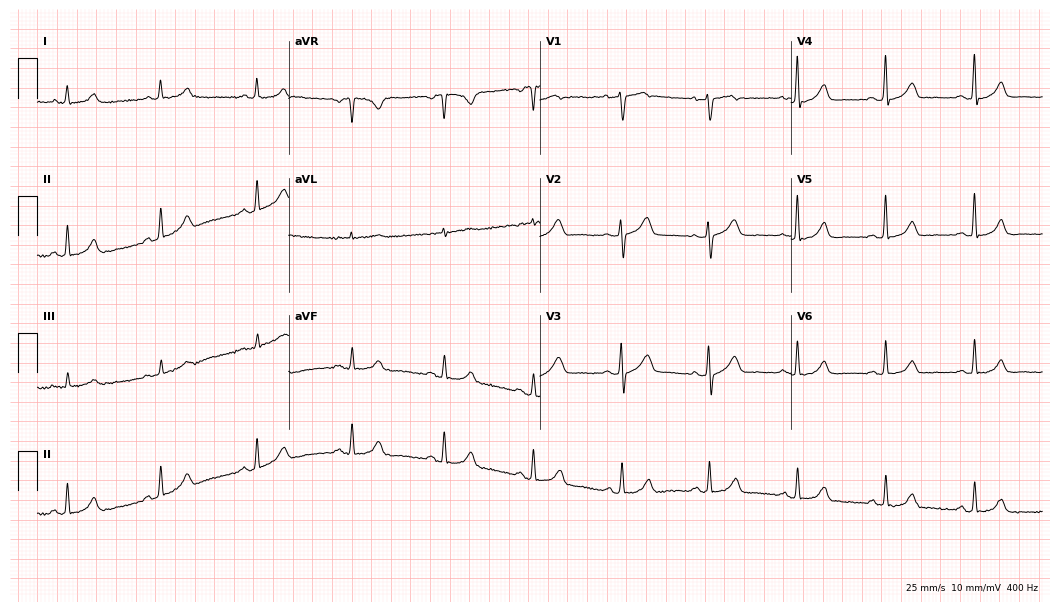
Electrocardiogram (10.2-second recording at 400 Hz), a woman, 52 years old. Overall reading on record: normal ECG.